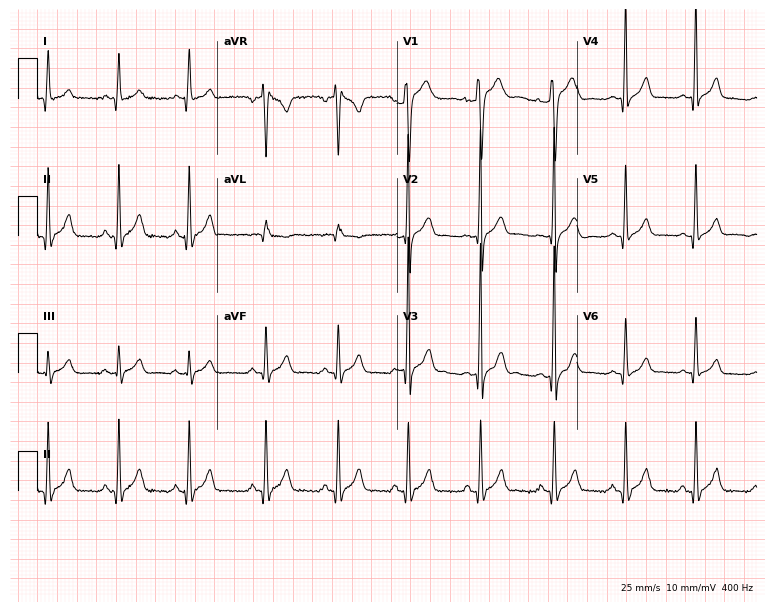
Electrocardiogram, a male patient, 27 years old. Overall reading on record: normal ECG.